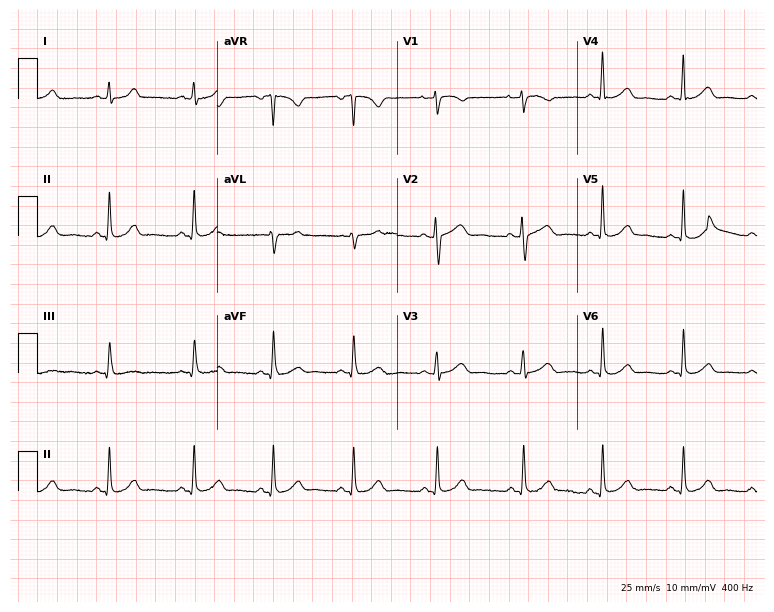
12-lead ECG from a 40-year-old female patient (7.3-second recording at 400 Hz). Recorded interpretation: within normal limits.